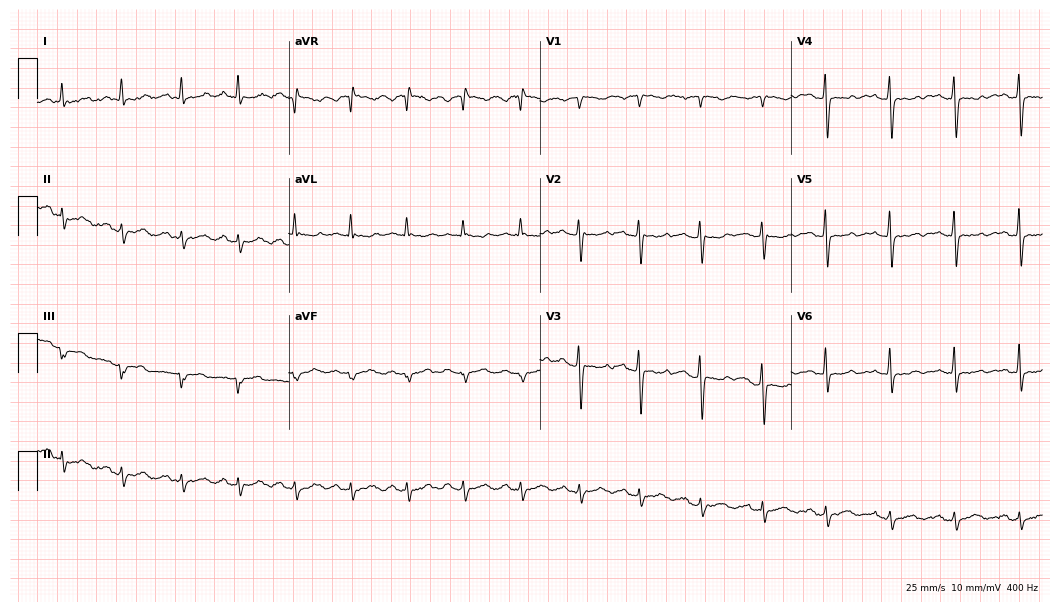
ECG — a 37-year-old female patient. Labelled as a normal ECG.